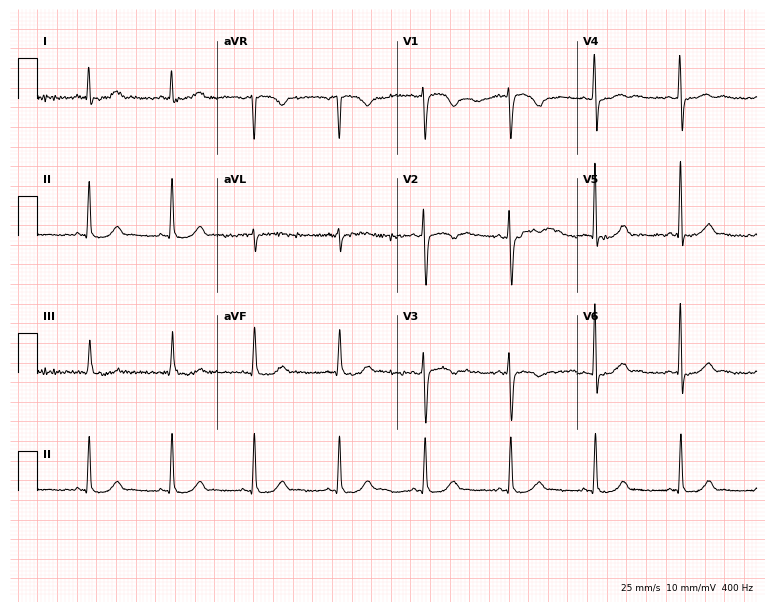
Resting 12-lead electrocardiogram. Patient: a 47-year-old woman. None of these six findings is recorded: first-degree AV block, right bundle branch block, left bundle branch block, sinus bradycardia, atrial fibrillation, sinus tachycardia.